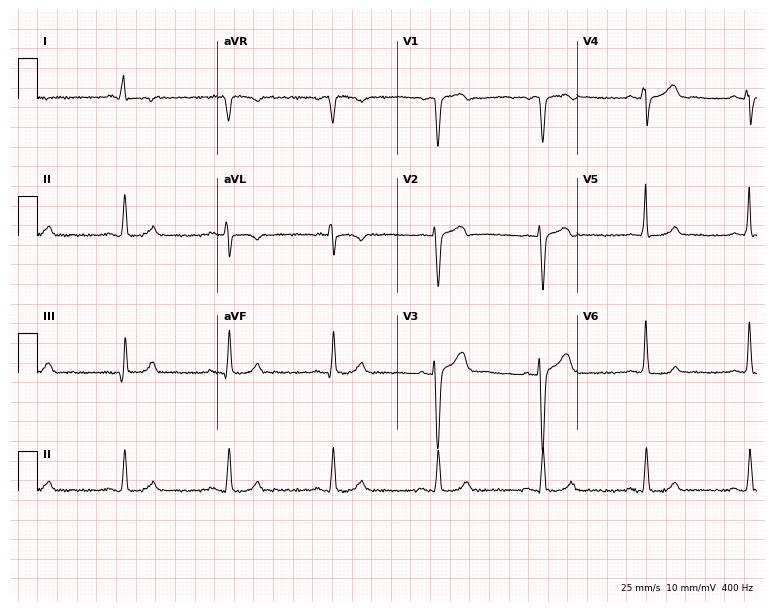
12-lead ECG from a 54-year-old male. Recorded interpretation: within normal limits.